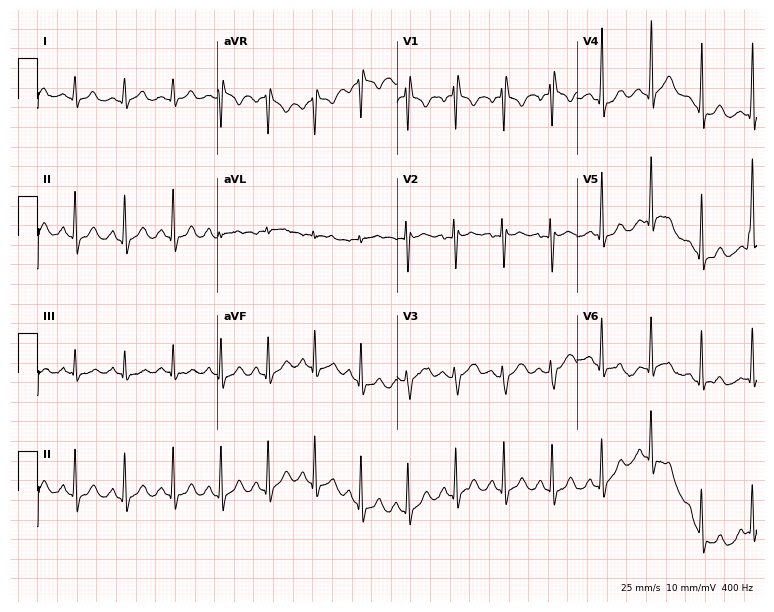
12-lead ECG (7.3-second recording at 400 Hz) from a 17-year-old female. Findings include sinus tachycardia (a sinus rate of 100 beats per minute or more).